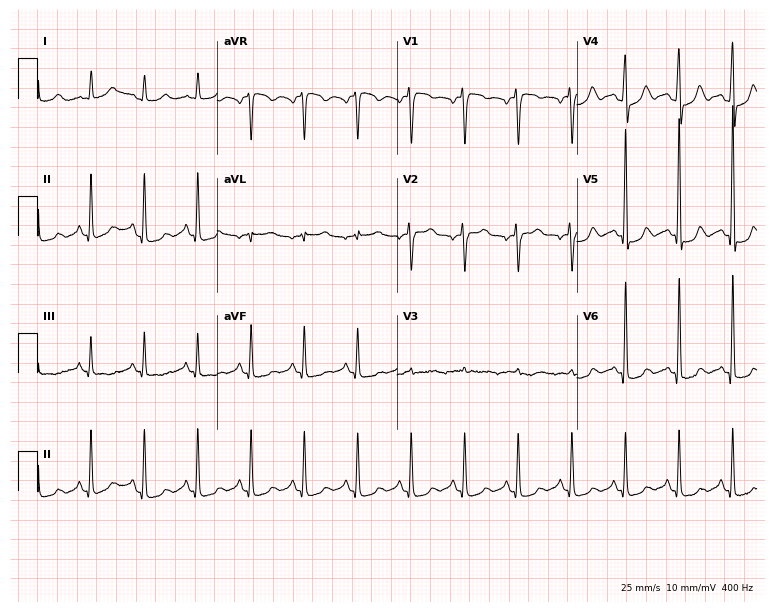
Resting 12-lead electrocardiogram (7.3-second recording at 400 Hz). Patient: a 62-year-old female. The tracing shows sinus tachycardia (a sinus rate of 100 beats per minute or more).